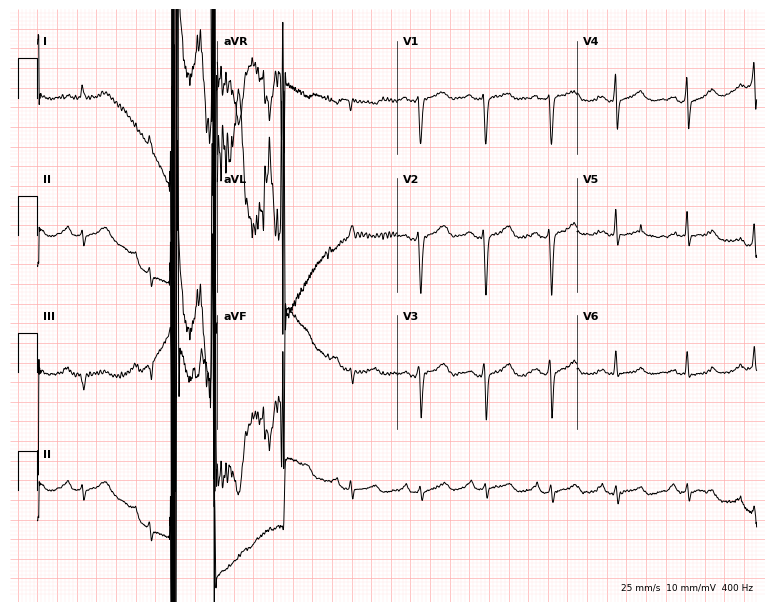
Standard 12-lead ECG recorded from a female, 66 years old. None of these six findings is recorded: first-degree AV block, right bundle branch block, left bundle branch block, sinus bradycardia, atrial fibrillation, sinus tachycardia. Only these six findings were labelled.